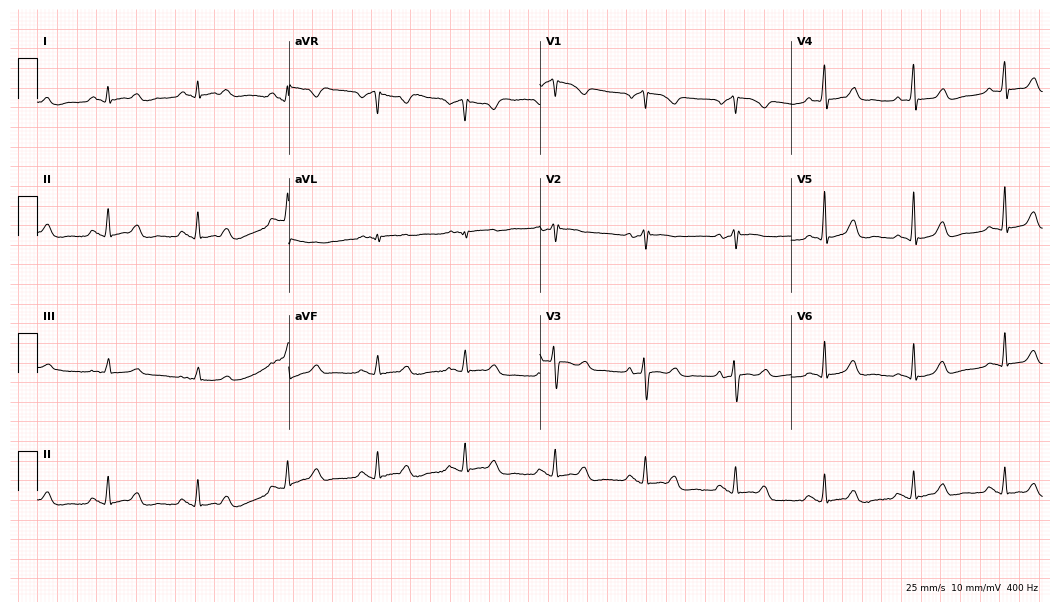
Electrocardiogram (10.2-second recording at 400 Hz), a female, 44 years old. Overall reading on record: normal ECG.